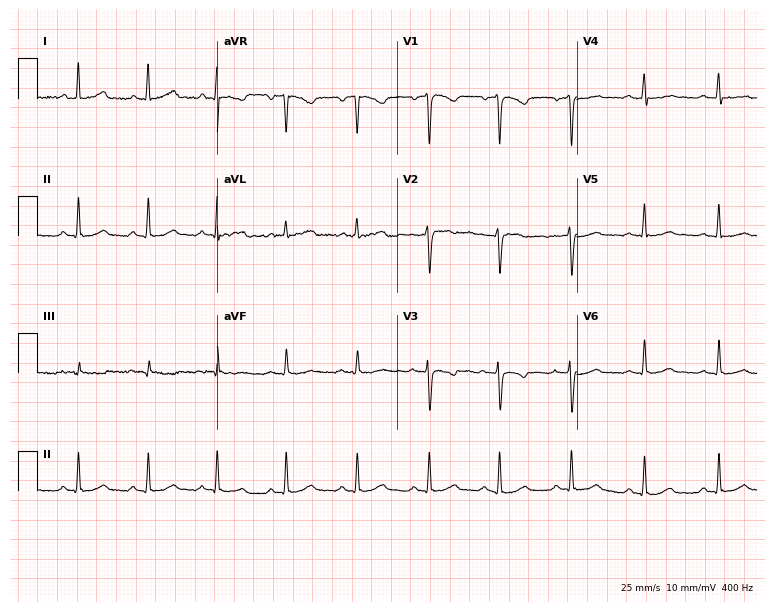
12-lead ECG from a 34-year-old female patient. No first-degree AV block, right bundle branch block, left bundle branch block, sinus bradycardia, atrial fibrillation or sinus tachycardia recorded for this tracing. Only these six findings were labelled.